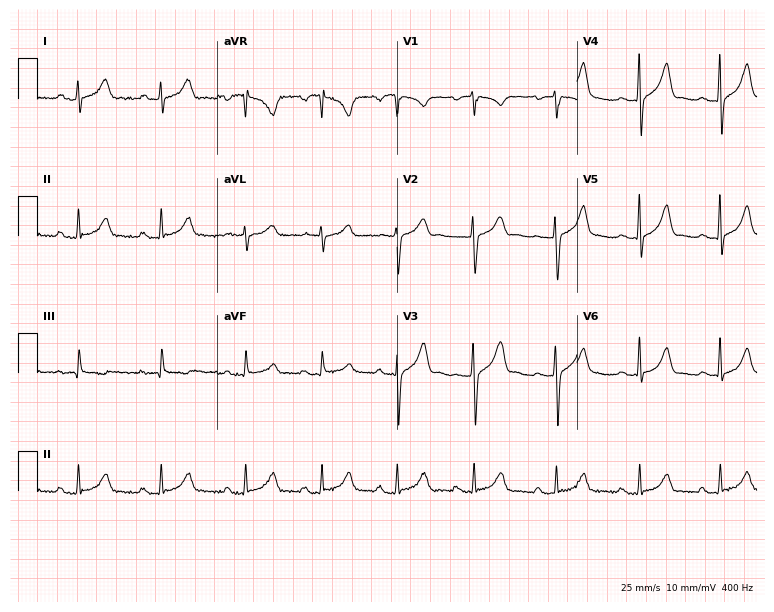
12-lead ECG from a 33-year-old female. Recorded interpretation: within normal limits.